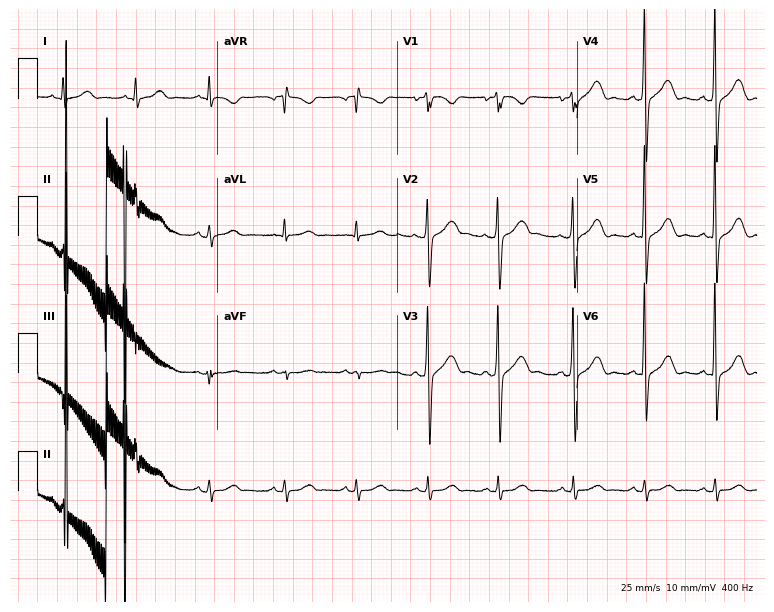
Electrocardiogram (7.3-second recording at 400 Hz), a male patient, 39 years old. Of the six screened findings (first-degree AV block, right bundle branch block, left bundle branch block, sinus bradycardia, atrial fibrillation, sinus tachycardia), none is recorded. Findings outside these six are not listed.